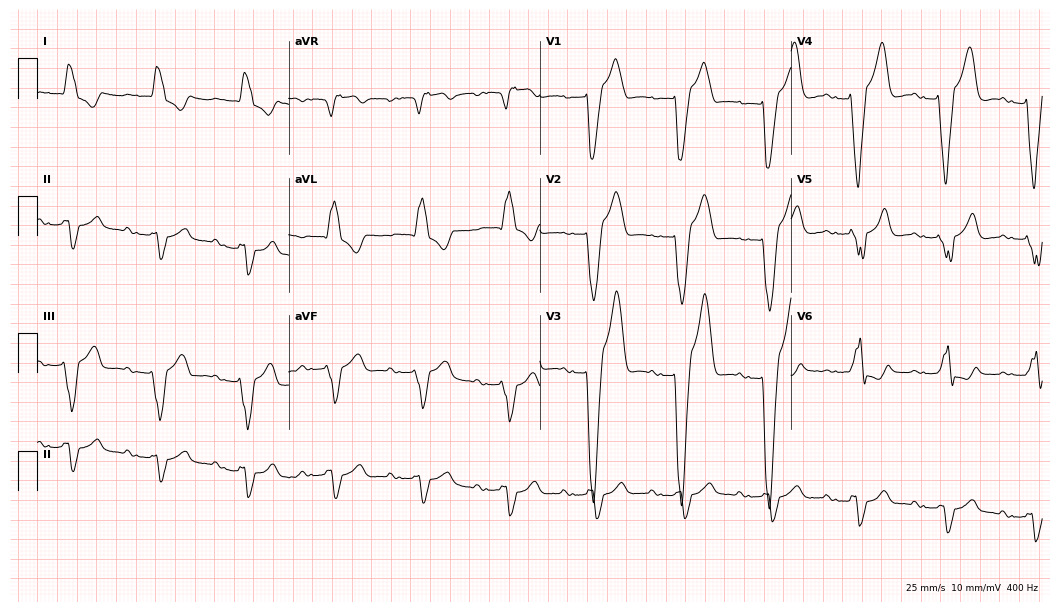
12-lead ECG from a 74-year-old male (10.2-second recording at 400 Hz). Shows first-degree AV block, left bundle branch block (LBBB).